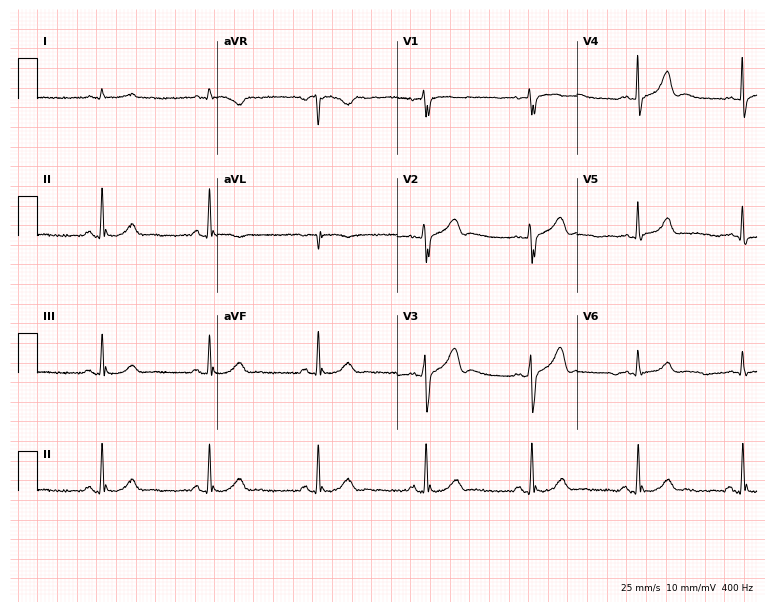
12-lead ECG from a 65-year-old woman (7.3-second recording at 400 Hz). No first-degree AV block, right bundle branch block, left bundle branch block, sinus bradycardia, atrial fibrillation or sinus tachycardia recorded for this tracing. Other findings, if any, are not listed.